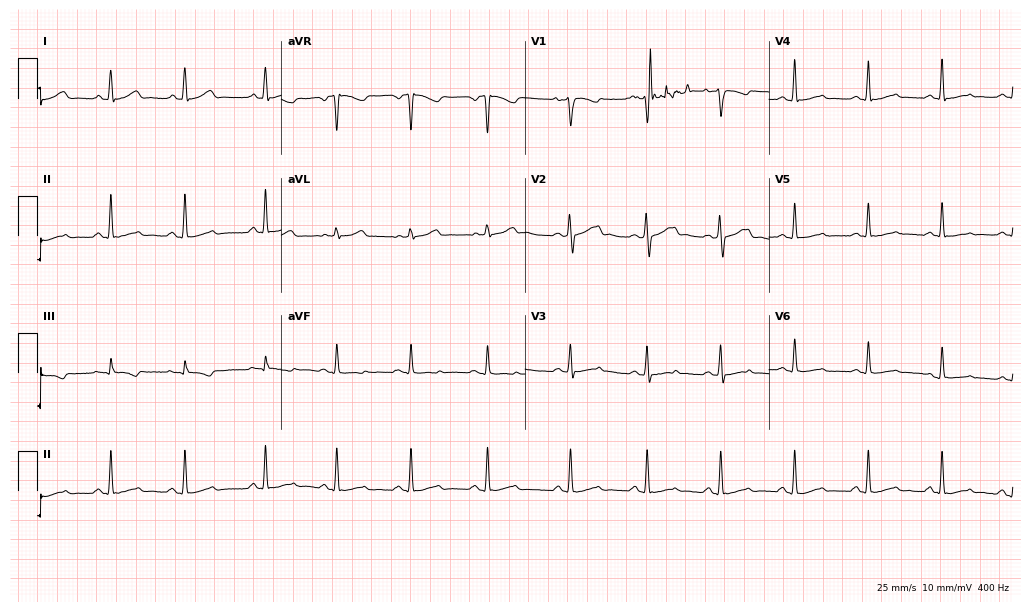
Electrocardiogram, a 40-year-old woman. Overall reading on record: normal ECG.